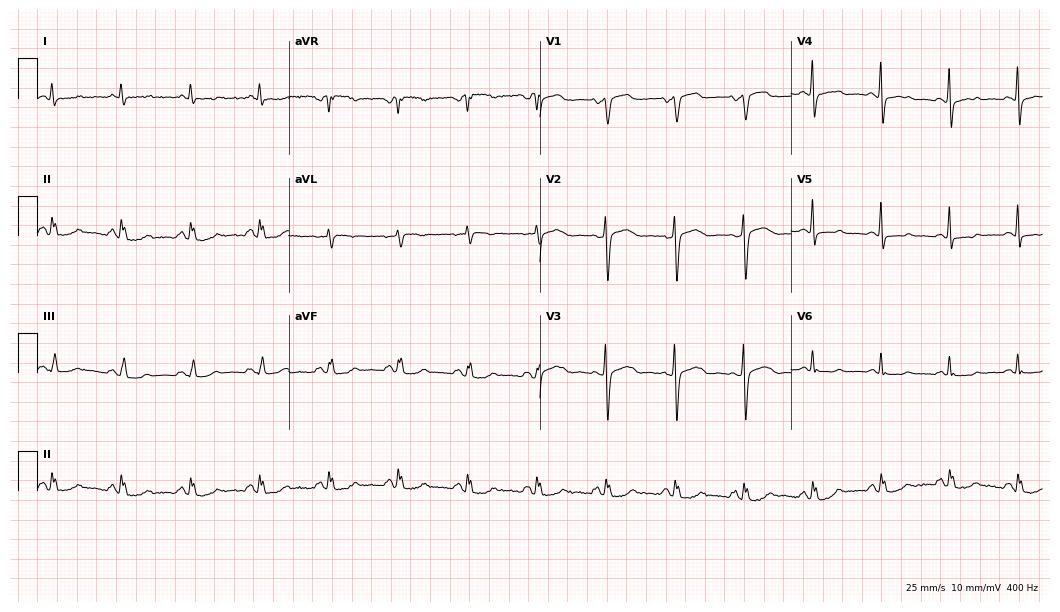
12-lead ECG from a 64-year-old female. No first-degree AV block, right bundle branch block (RBBB), left bundle branch block (LBBB), sinus bradycardia, atrial fibrillation (AF) or sinus tachycardia recorded for this tracing. Only these six findings were labelled.